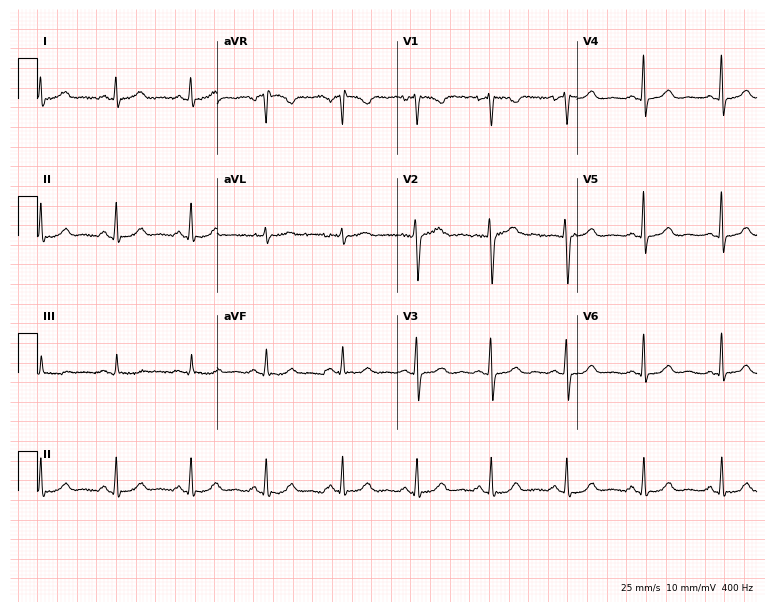
Standard 12-lead ECG recorded from a female, 39 years old (7.3-second recording at 400 Hz). Read as a normal ECG.